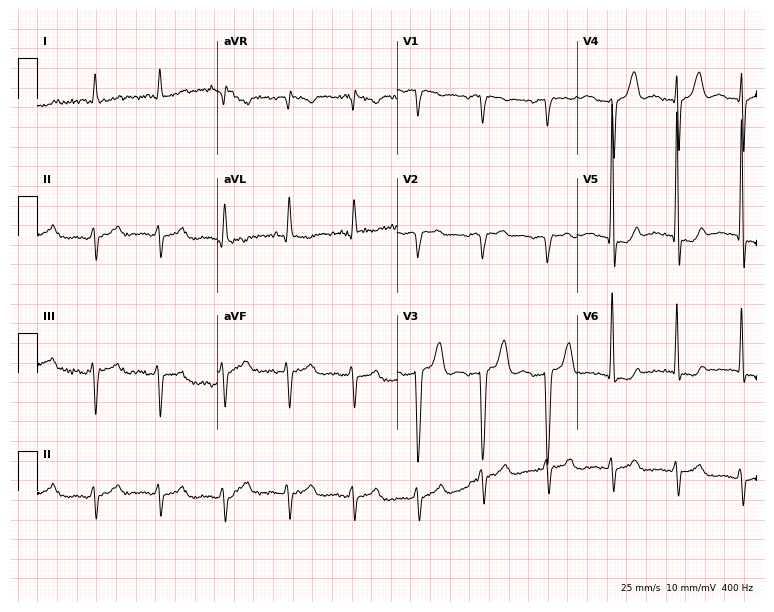
Standard 12-lead ECG recorded from a 70-year-old male. None of these six findings is recorded: first-degree AV block, right bundle branch block, left bundle branch block, sinus bradycardia, atrial fibrillation, sinus tachycardia.